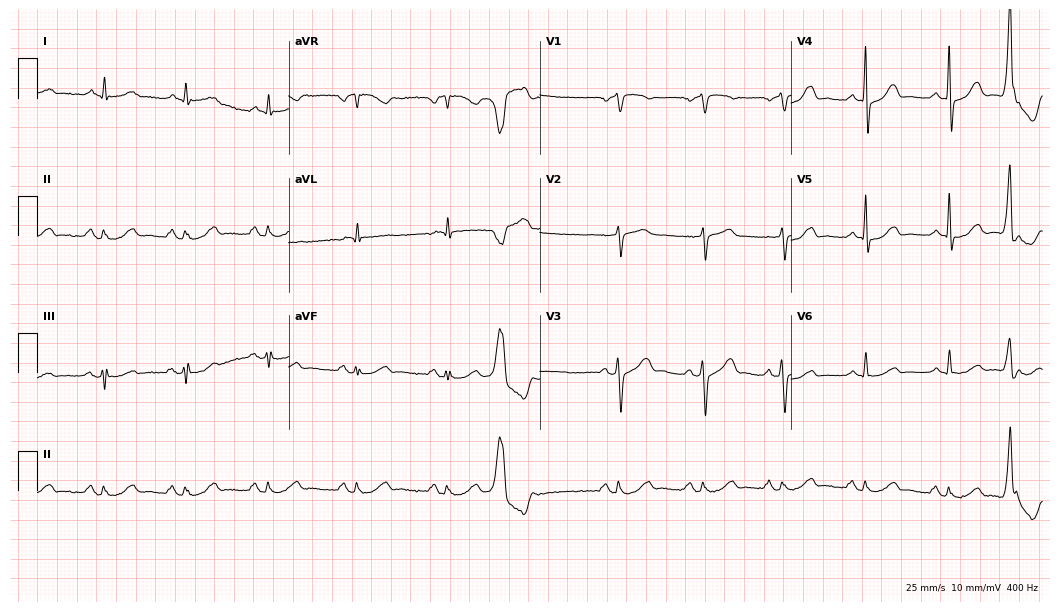
12-lead ECG from a man, 81 years old. No first-degree AV block, right bundle branch block, left bundle branch block, sinus bradycardia, atrial fibrillation or sinus tachycardia recorded for this tracing. Findings outside these six are not listed.